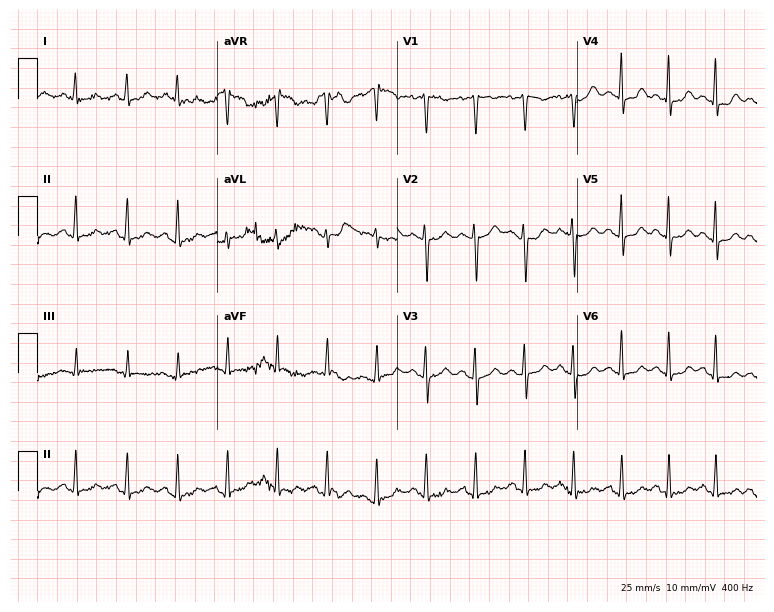
Standard 12-lead ECG recorded from a 20-year-old woman (7.3-second recording at 400 Hz). The tracing shows sinus tachycardia (a sinus rate of 100 beats per minute or more).